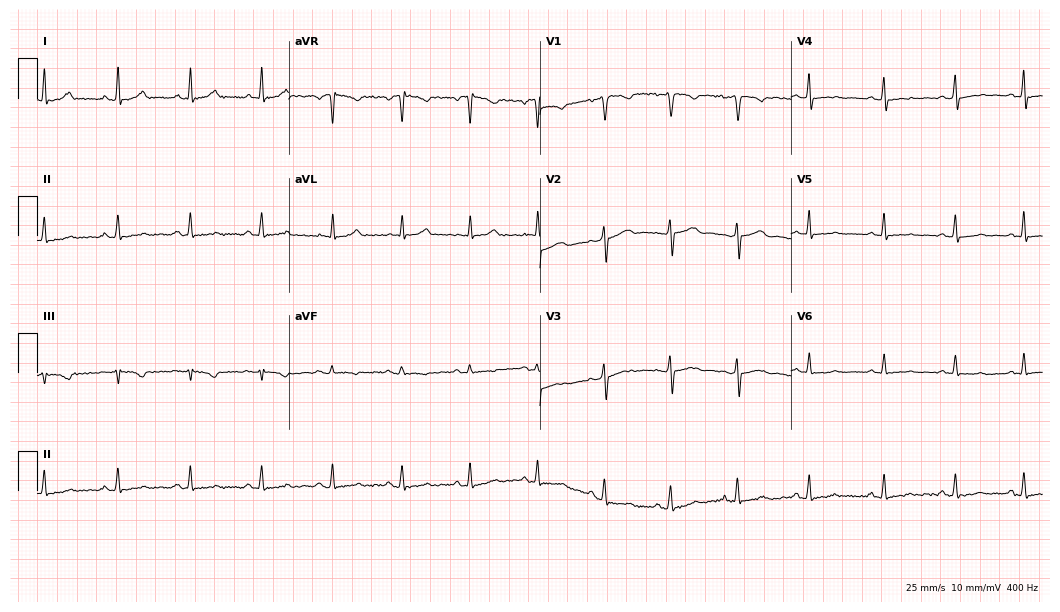
ECG (10.2-second recording at 400 Hz) — a female, 39 years old. Labelled as a normal ECG.